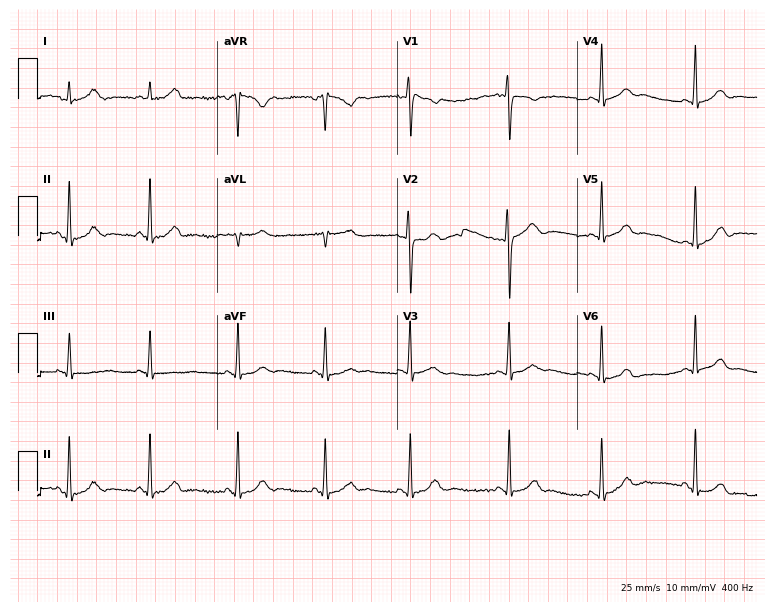
Standard 12-lead ECG recorded from a 25-year-old female patient. Read as a normal ECG.